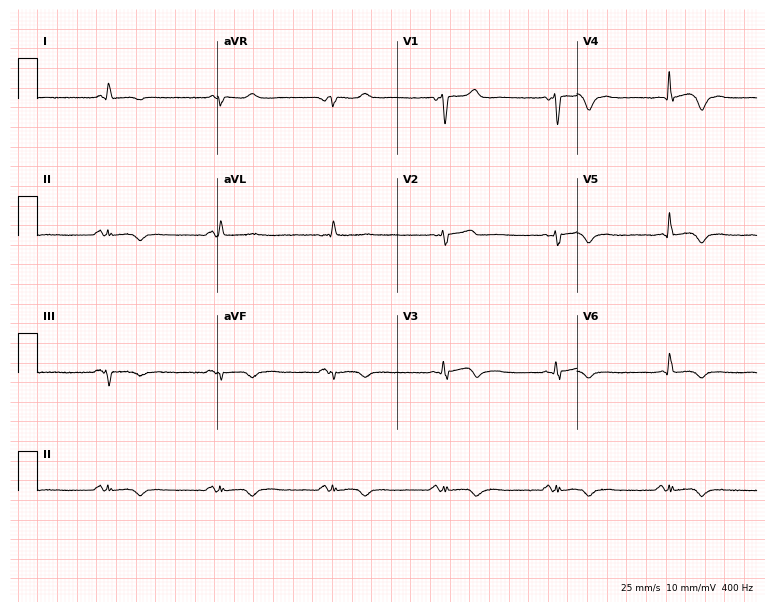
Standard 12-lead ECG recorded from a woman, 65 years old (7.3-second recording at 400 Hz). None of these six findings is recorded: first-degree AV block, right bundle branch block (RBBB), left bundle branch block (LBBB), sinus bradycardia, atrial fibrillation (AF), sinus tachycardia. Only these six findings were labelled.